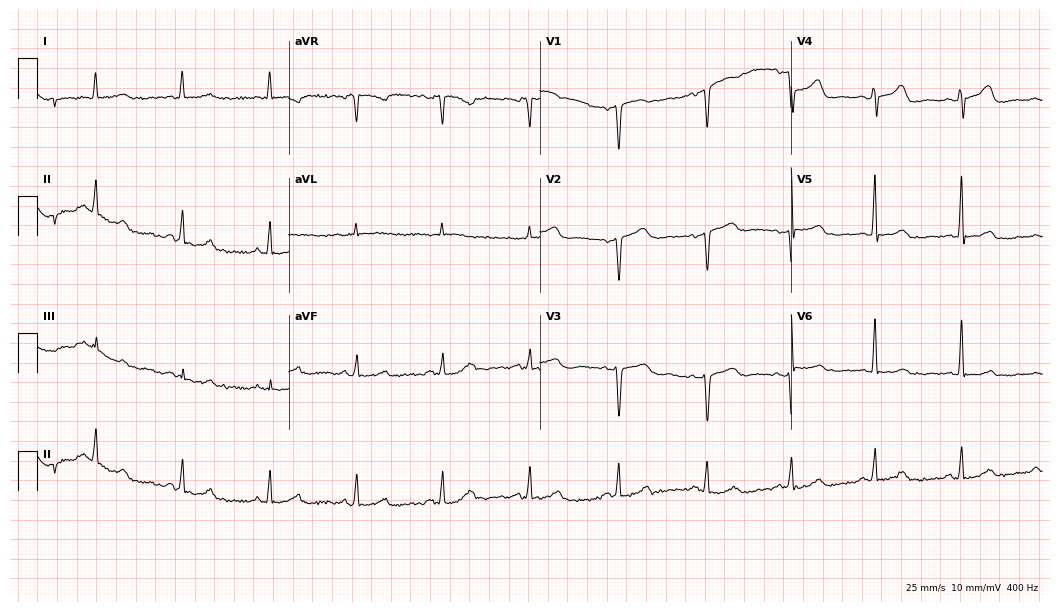
Standard 12-lead ECG recorded from a female patient, 49 years old. None of these six findings is recorded: first-degree AV block, right bundle branch block, left bundle branch block, sinus bradycardia, atrial fibrillation, sinus tachycardia.